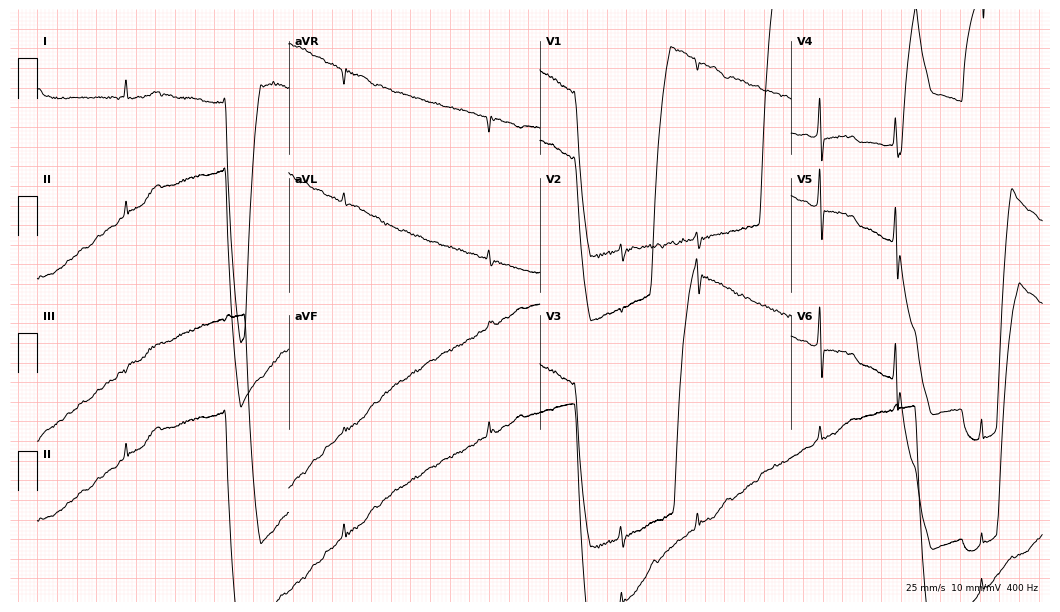
12-lead ECG (10.2-second recording at 400 Hz) from an 80-year-old female patient. Findings include atrial fibrillation.